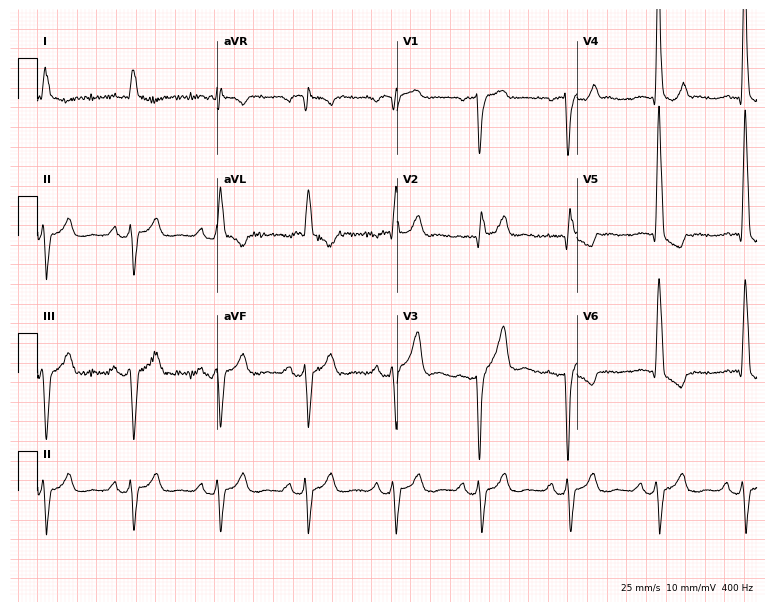
Resting 12-lead electrocardiogram. Patient: a male, 84 years old. None of these six findings is recorded: first-degree AV block, right bundle branch block, left bundle branch block, sinus bradycardia, atrial fibrillation, sinus tachycardia.